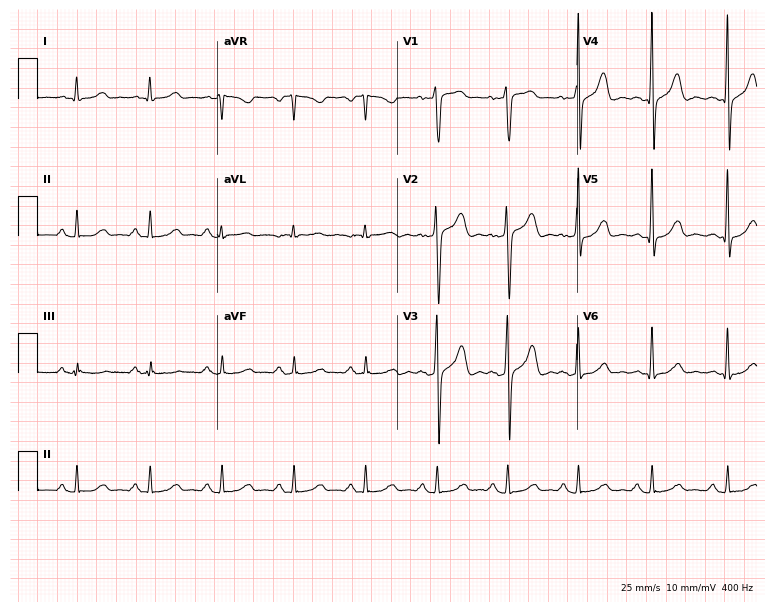
Standard 12-lead ECG recorded from a man, 45 years old. Read as a normal ECG.